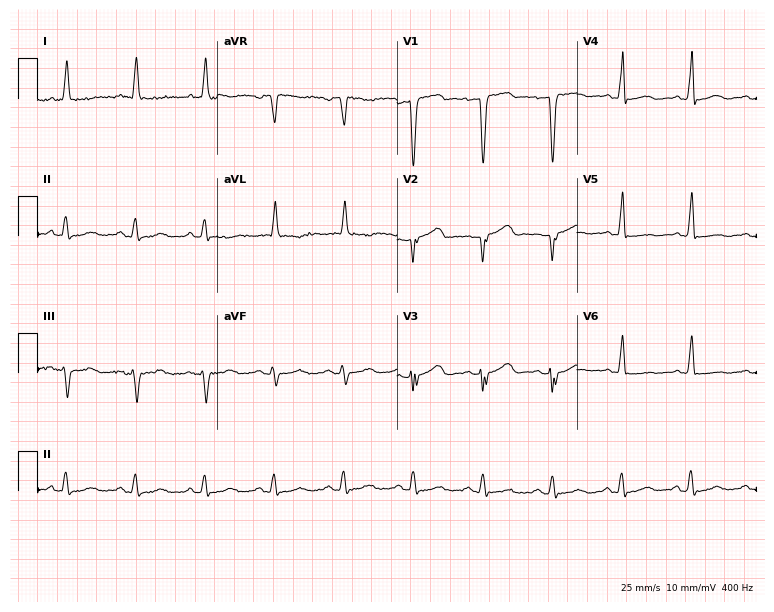
Electrocardiogram, a woman, 73 years old. Of the six screened findings (first-degree AV block, right bundle branch block (RBBB), left bundle branch block (LBBB), sinus bradycardia, atrial fibrillation (AF), sinus tachycardia), none is recorded.